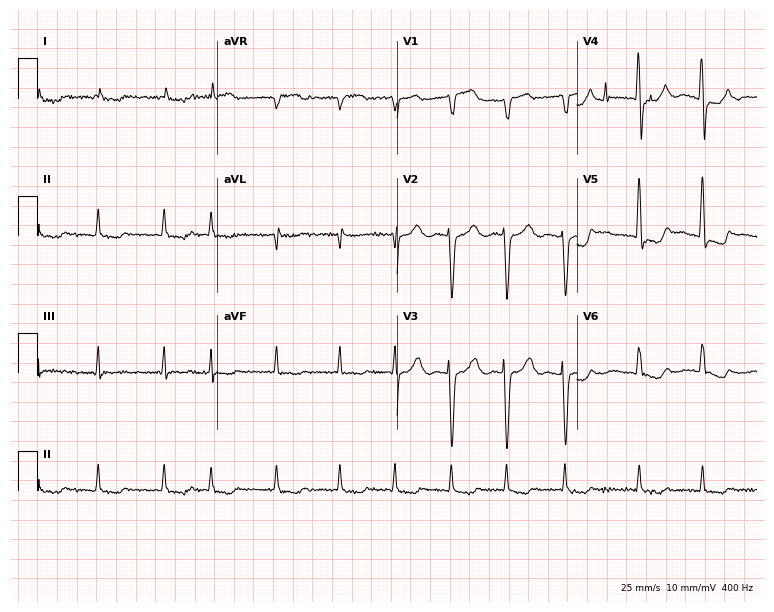
Standard 12-lead ECG recorded from a 51-year-old female. The tracing shows atrial fibrillation.